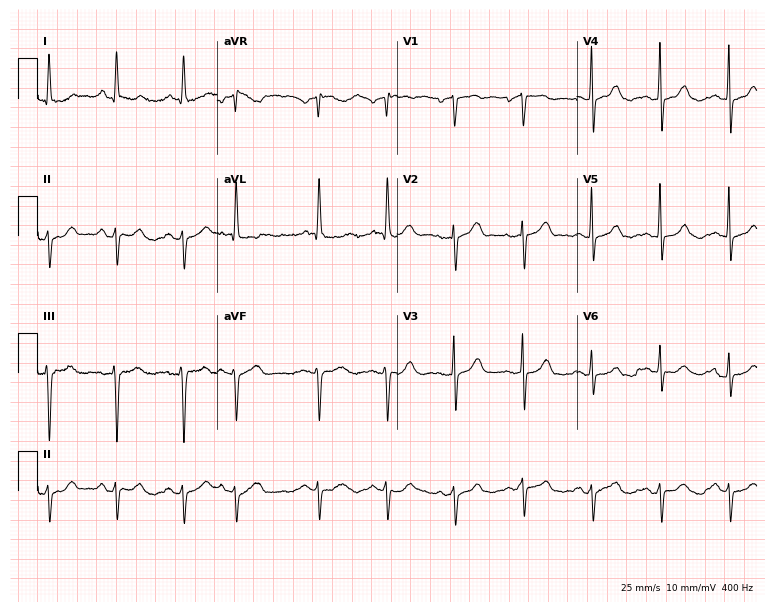
12-lead ECG (7.3-second recording at 400 Hz) from an 80-year-old female. Screened for six findings — first-degree AV block, right bundle branch block (RBBB), left bundle branch block (LBBB), sinus bradycardia, atrial fibrillation (AF), sinus tachycardia — none is recorded. Findings outside these six are not listed.